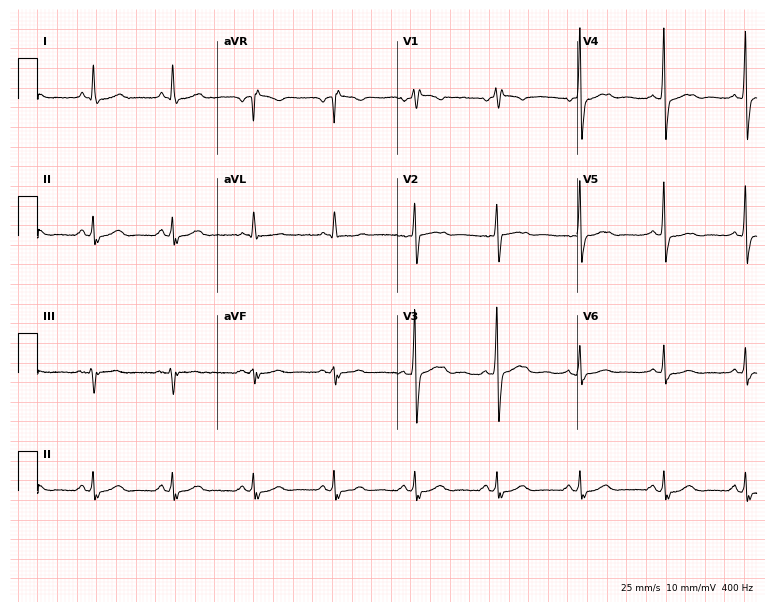
ECG — a 71-year-old male patient. Screened for six findings — first-degree AV block, right bundle branch block (RBBB), left bundle branch block (LBBB), sinus bradycardia, atrial fibrillation (AF), sinus tachycardia — none is recorded.